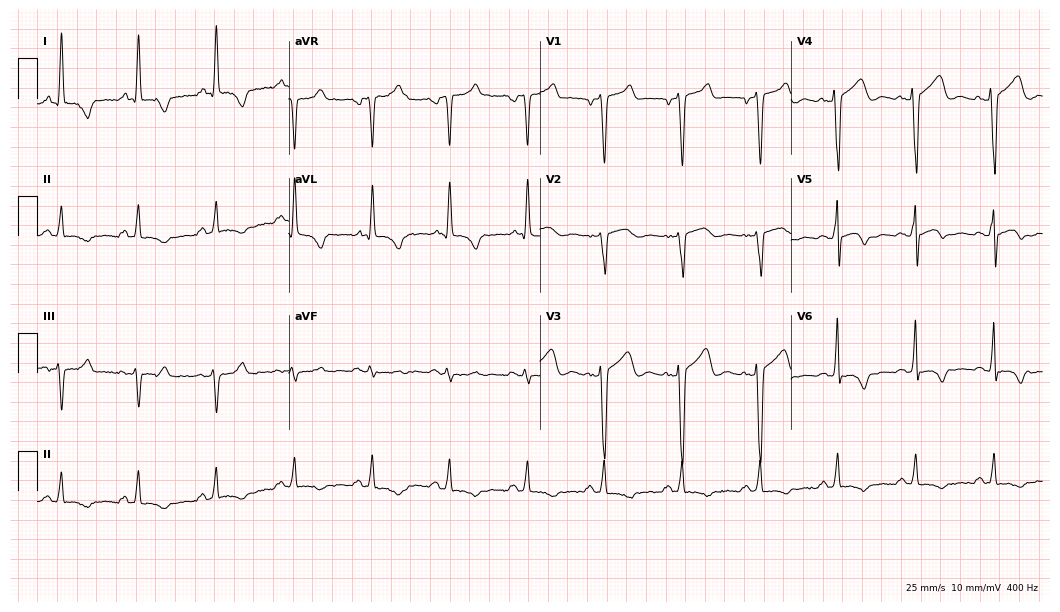
12-lead ECG from a man, 49 years old. No first-degree AV block, right bundle branch block, left bundle branch block, sinus bradycardia, atrial fibrillation or sinus tachycardia recorded for this tracing.